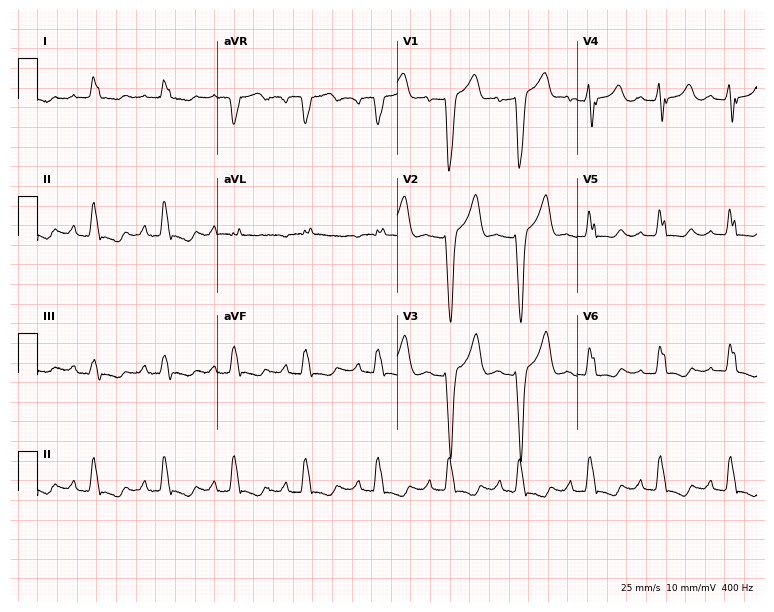
12-lead ECG from a female patient, 75 years old. Shows left bundle branch block.